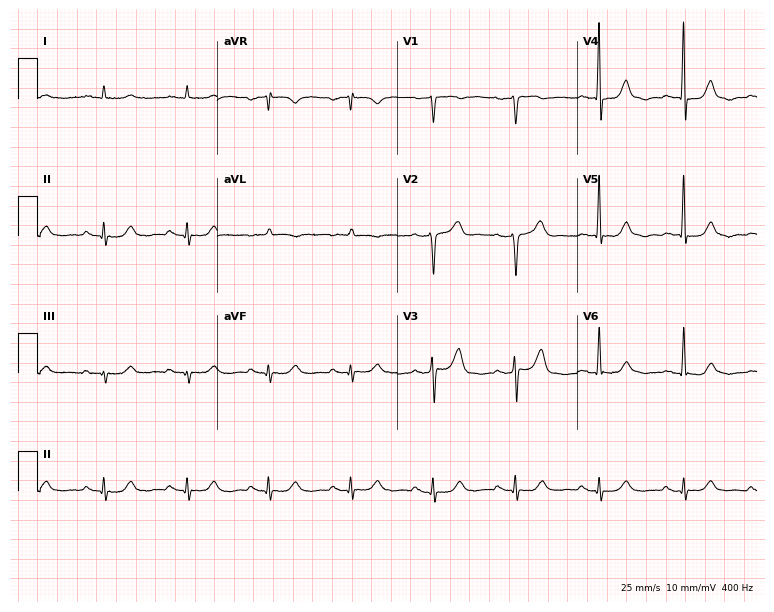
Standard 12-lead ECG recorded from an 81-year-old male patient (7.3-second recording at 400 Hz). Read as a normal ECG.